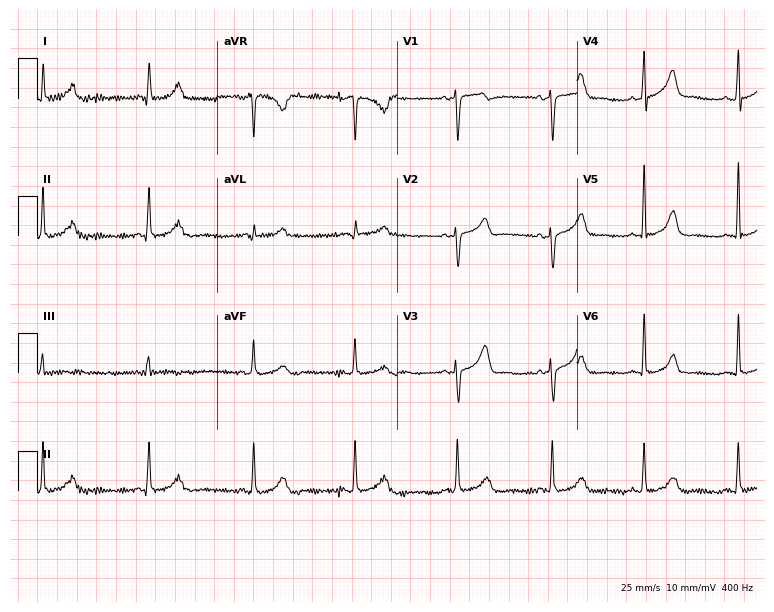
12-lead ECG from a woman, 46 years old. Screened for six findings — first-degree AV block, right bundle branch block, left bundle branch block, sinus bradycardia, atrial fibrillation, sinus tachycardia — none is recorded.